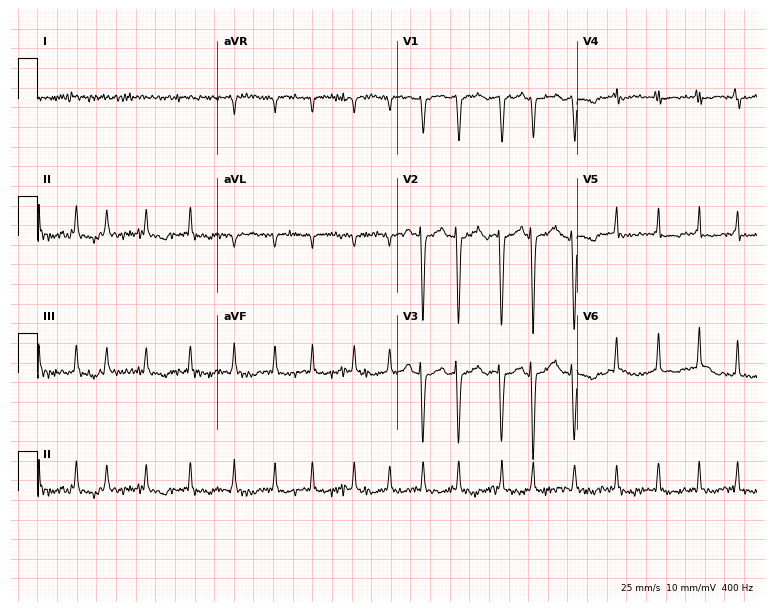
ECG — a man, 71 years old. Screened for six findings — first-degree AV block, right bundle branch block (RBBB), left bundle branch block (LBBB), sinus bradycardia, atrial fibrillation (AF), sinus tachycardia — none is recorded.